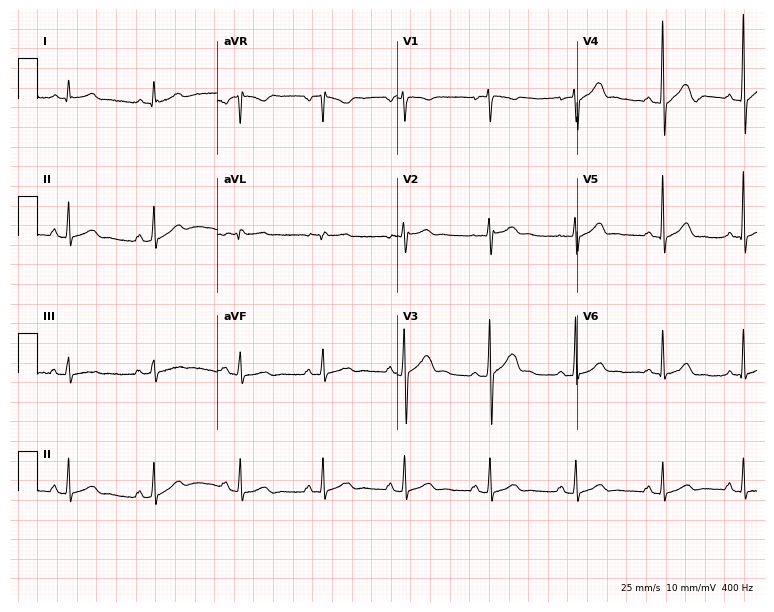
Resting 12-lead electrocardiogram (7.3-second recording at 400 Hz). Patient: a male, 33 years old. Read as a normal ECG.